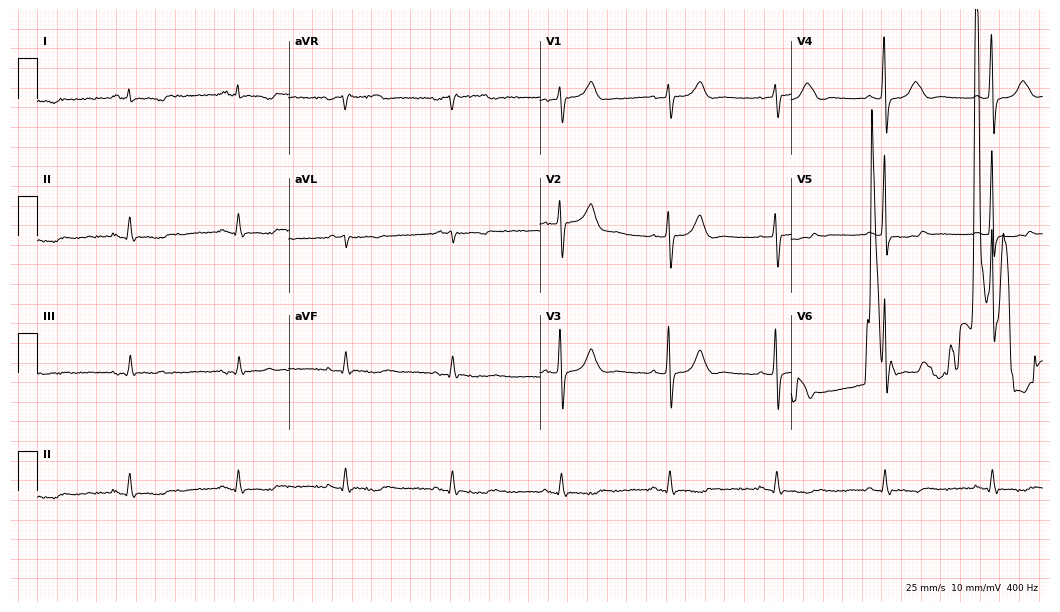
Resting 12-lead electrocardiogram. Patient: a male, 74 years old. None of these six findings is recorded: first-degree AV block, right bundle branch block, left bundle branch block, sinus bradycardia, atrial fibrillation, sinus tachycardia. Other findings, if any, are not listed.